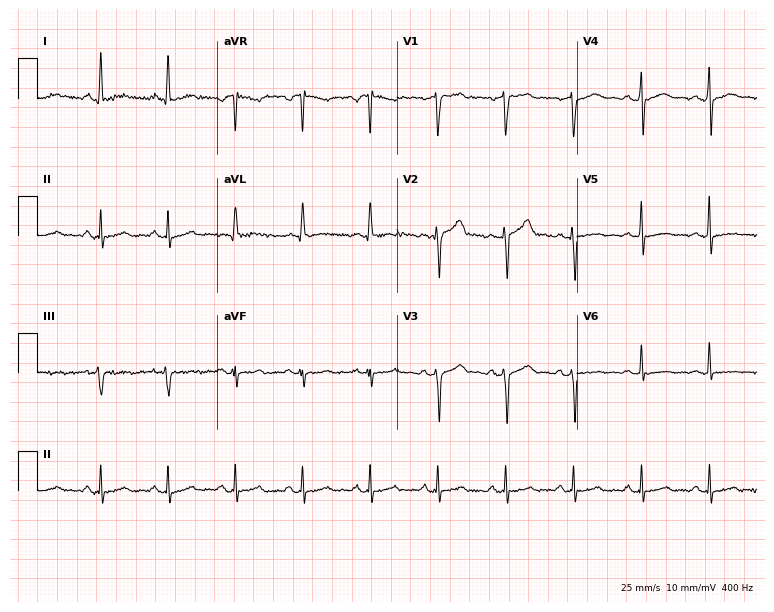
ECG — a 43-year-old male patient. Screened for six findings — first-degree AV block, right bundle branch block, left bundle branch block, sinus bradycardia, atrial fibrillation, sinus tachycardia — none is recorded.